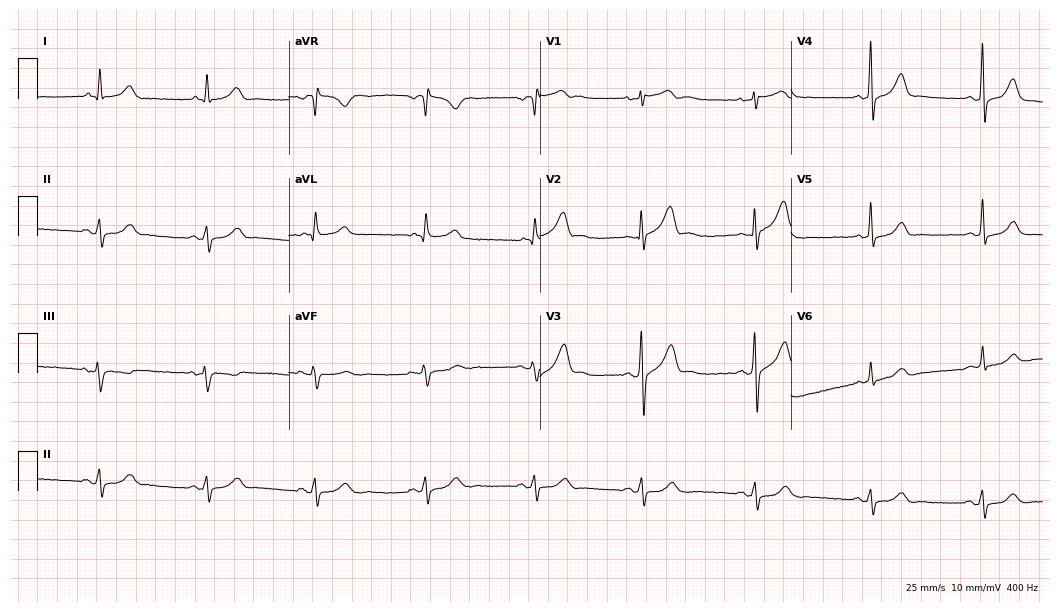
Resting 12-lead electrocardiogram. Patient: a 42-year-old male. None of these six findings is recorded: first-degree AV block, right bundle branch block, left bundle branch block, sinus bradycardia, atrial fibrillation, sinus tachycardia.